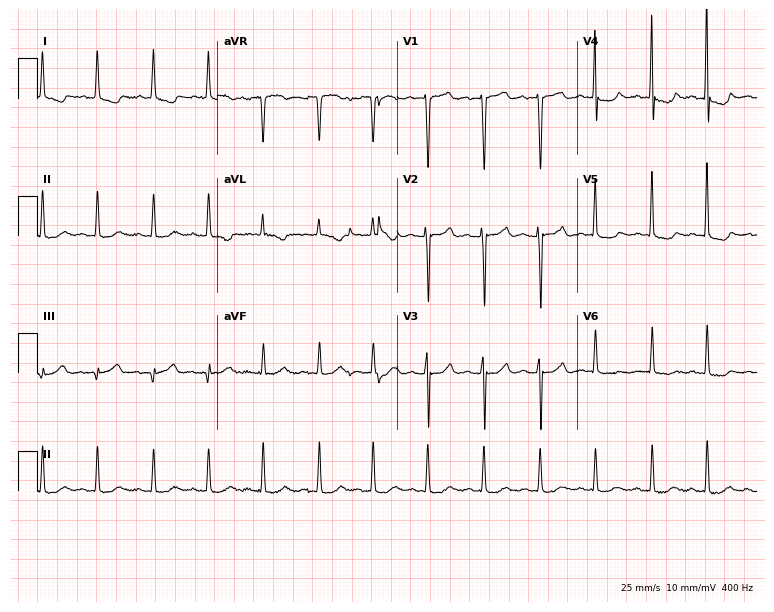
Resting 12-lead electrocardiogram (7.3-second recording at 400 Hz). Patient: an 81-year-old female. The tracing shows sinus tachycardia (a sinus rate of 100 beats per minute or more).